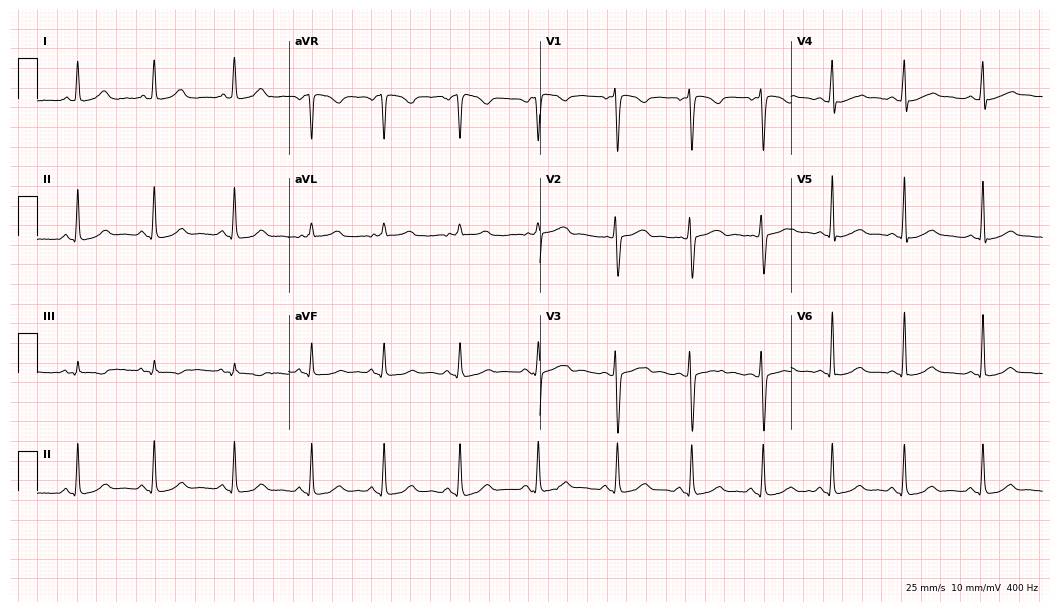
ECG (10.2-second recording at 400 Hz) — a woman, 33 years old. Screened for six findings — first-degree AV block, right bundle branch block, left bundle branch block, sinus bradycardia, atrial fibrillation, sinus tachycardia — none is recorded.